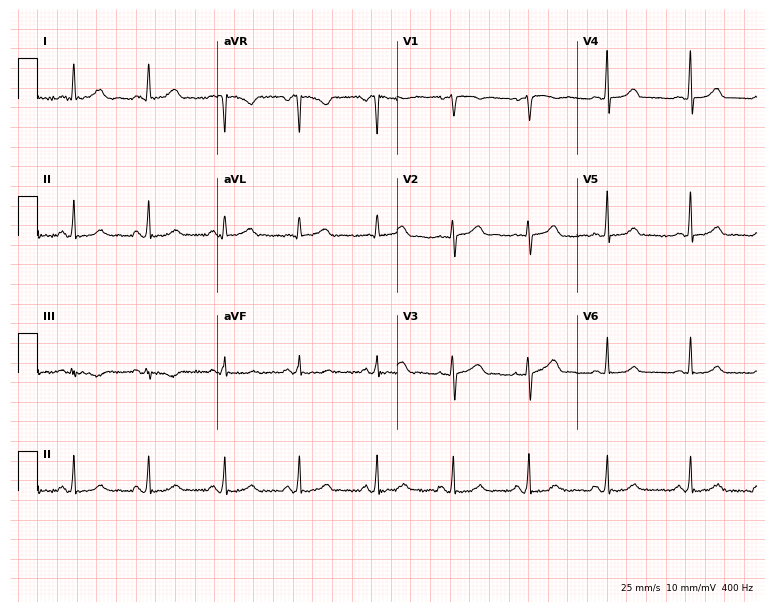
ECG — a female, 42 years old. Labelled as a normal ECG.